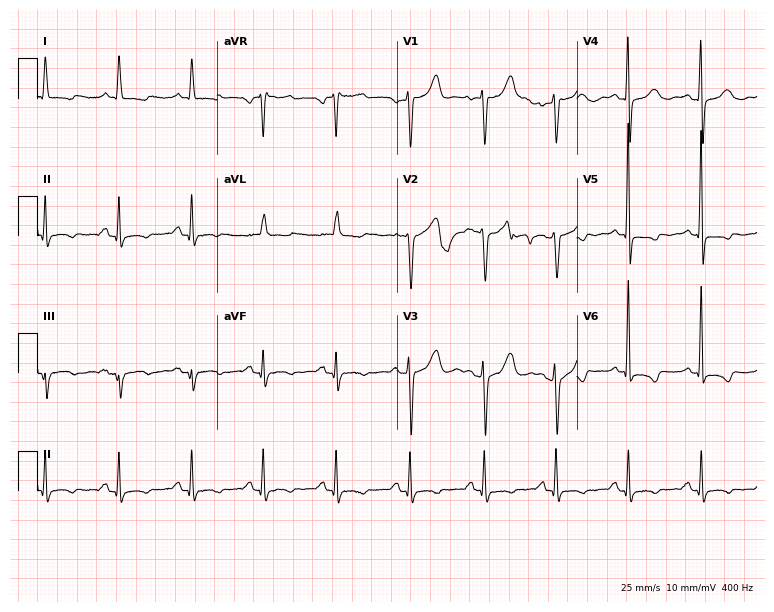
Resting 12-lead electrocardiogram (7.3-second recording at 400 Hz). Patient: a woman, 63 years old. None of these six findings is recorded: first-degree AV block, right bundle branch block, left bundle branch block, sinus bradycardia, atrial fibrillation, sinus tachycardia.